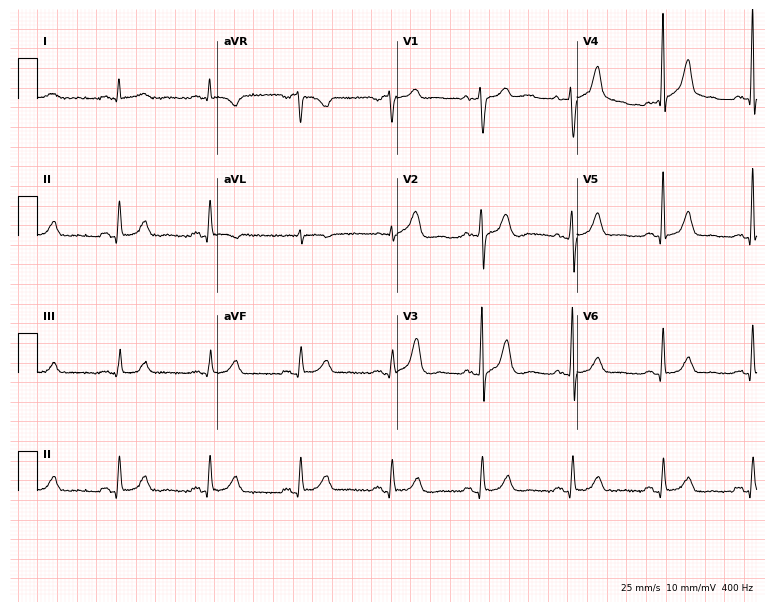
12-lead ECG from a 78-year-old male (7.3-second recording at 400 Hz). Recorded interpretation: within normal limits.